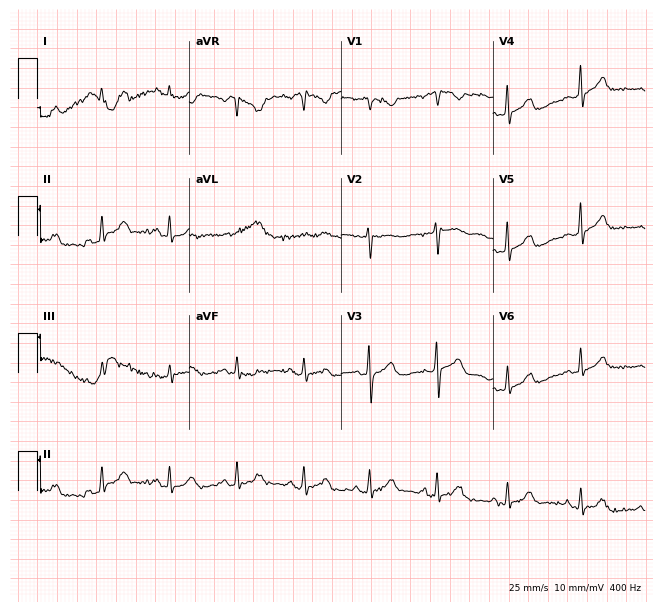
Standard 12-lead ECG recorded from a 31-year-old woman (6.2-second recording at 400 Hz). None of these six findings is recorded: first-degree AV block, right bundle branch block, left bundle branch block, sinus bradycardia, atrial fibrillation, sinus tachycardia.